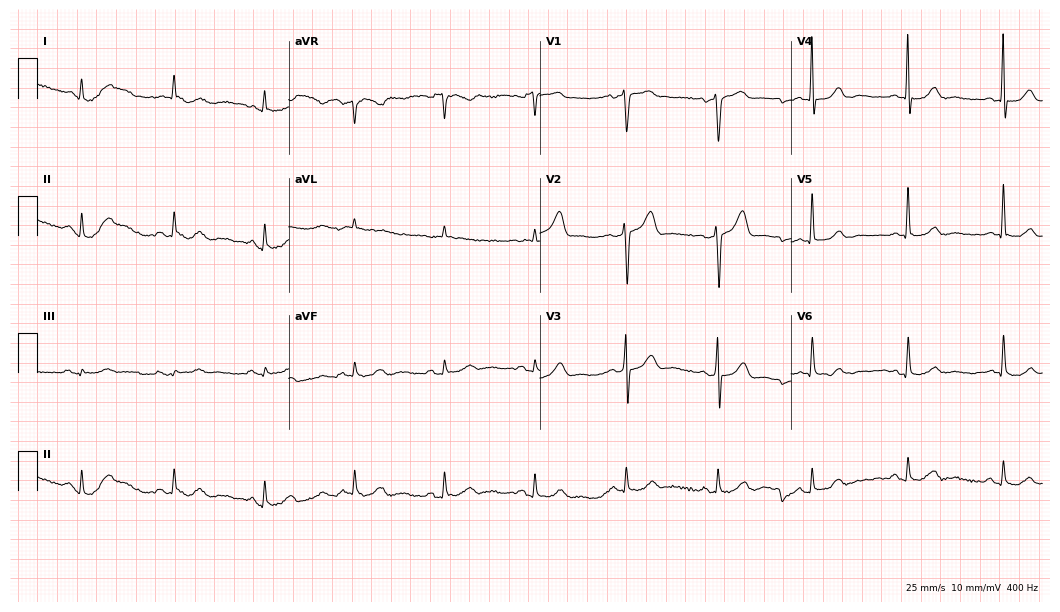
12-lead ECG (10.2-second recording at 400 Hz) from a male patient, 79 years old. Screened for six findings — first-degree AV block, right bundle branch block (RBBB), left bundle branch block (LBBB), sinus bradycardia, atrial fibrillation (AF), sinus tachycardia — none is recorded.